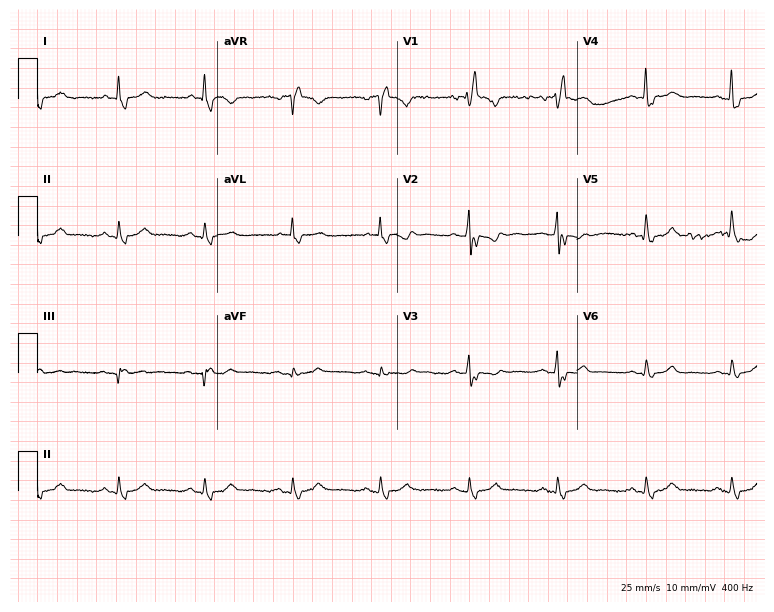
Electrocardiogram (7.3-second recording at 400 Hz), a 59-year-old male. Interpretation includes right bundle branch block.